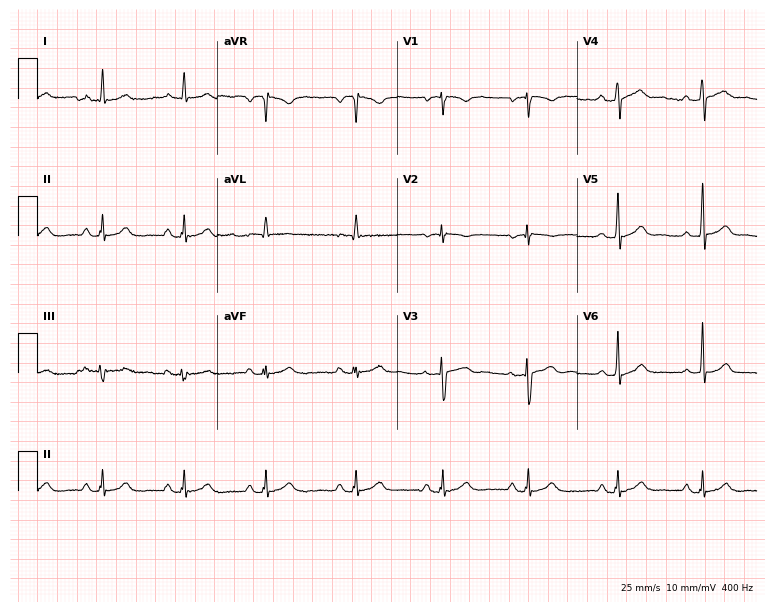
Resting 12-lead electrocardiogram (7.3-second recording at 400 Hz). Patient: a woman, 34 years old. Read as a normal ECG.